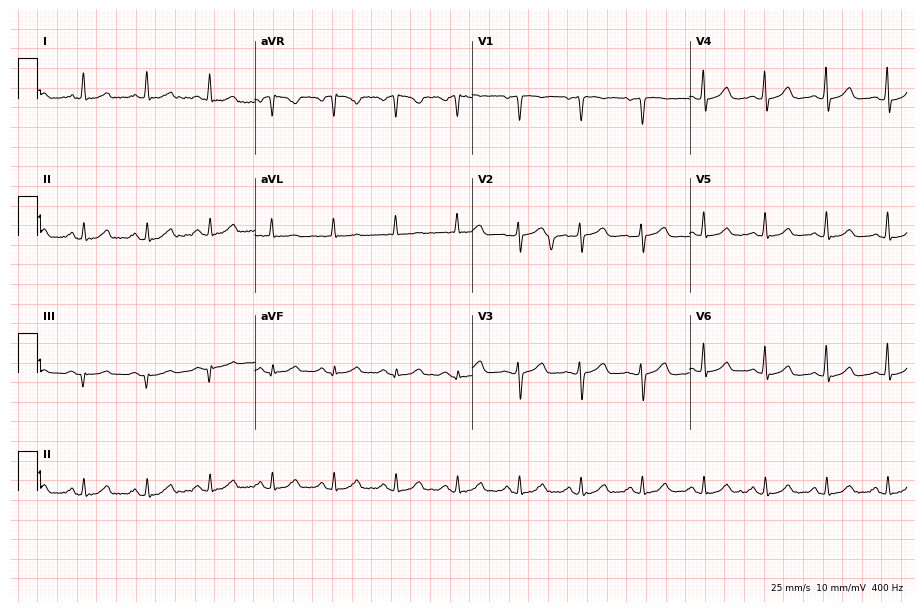
Standard 12-lead ECG recorded from a 19-year-old female patient (8.9-second recording at 400 Hz). Read as a normal ECG.